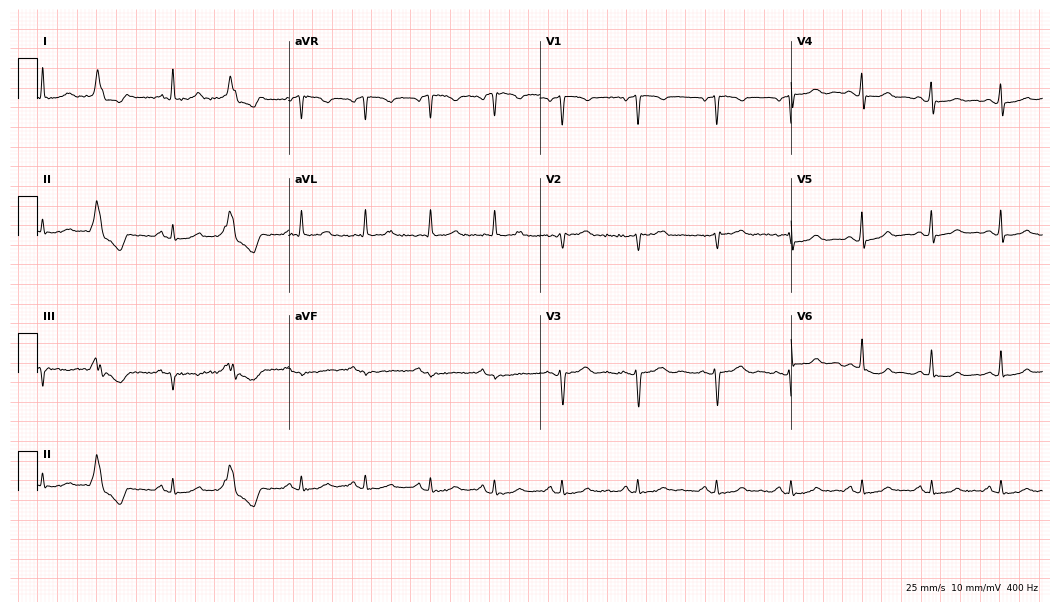
Resting 12-lead electrocardiogram (10.2-second recording at 400 Hz). Patient: a 67-year-old female. None of these six findings is recorded: first-degree AV block, right bundle branch block, left bundle branch block, sinus bradycardia, atrial fibrillation, sinus tachycardia. Other findings, if any, are not listed.